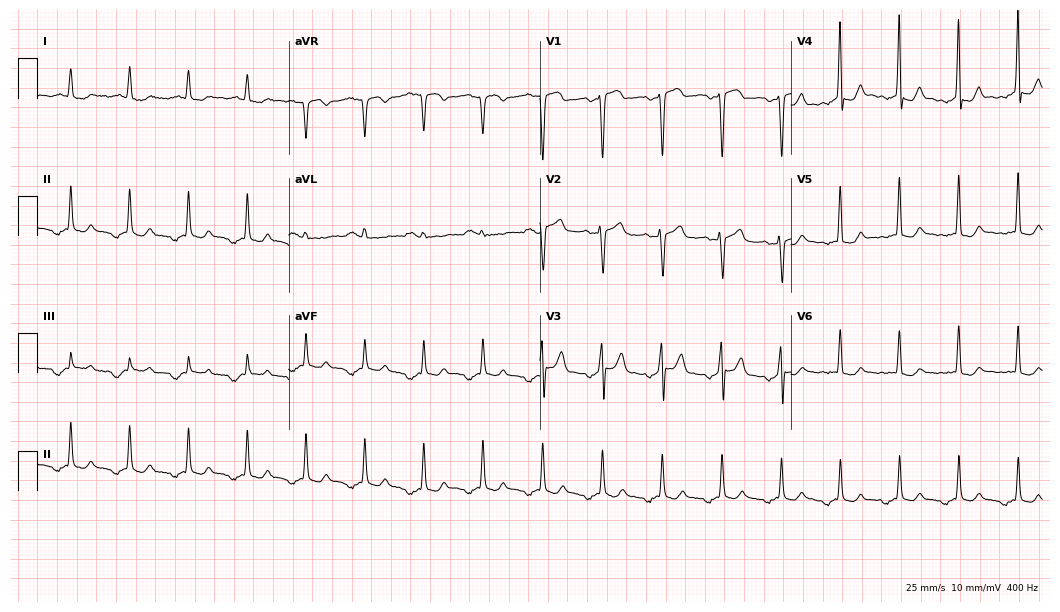
Resting 12-lead electrocardiogram (10.2-second recording at 400 Hz). Patient: a 52-year-old woman. None of these six findings is recorded: first-degree AV block, right bundle branch block (RBBB), left bundle branch block (LBBB), sinus bradycardia, atrial fibrillation (AF), sinus tachycardia.